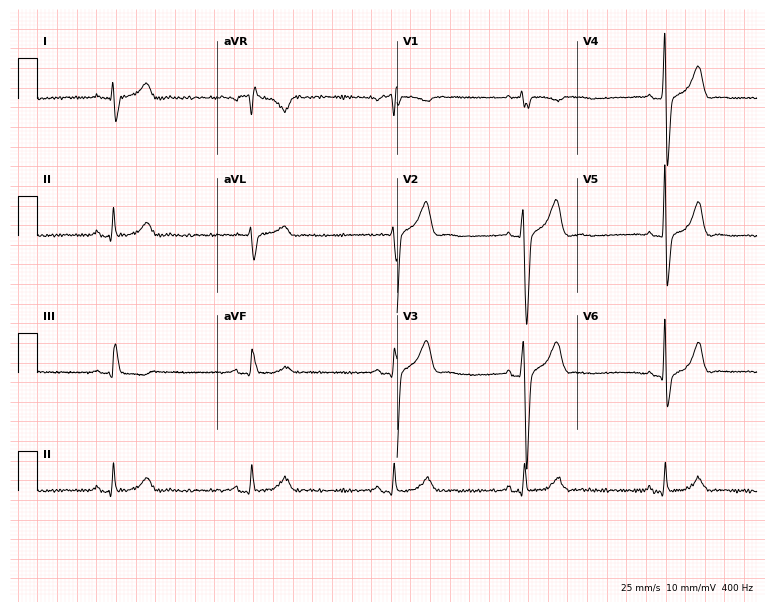
ECG — a man, 34 years old. Findings include sinus bradycardia (a sinus rate of 50 beats per minute or less).